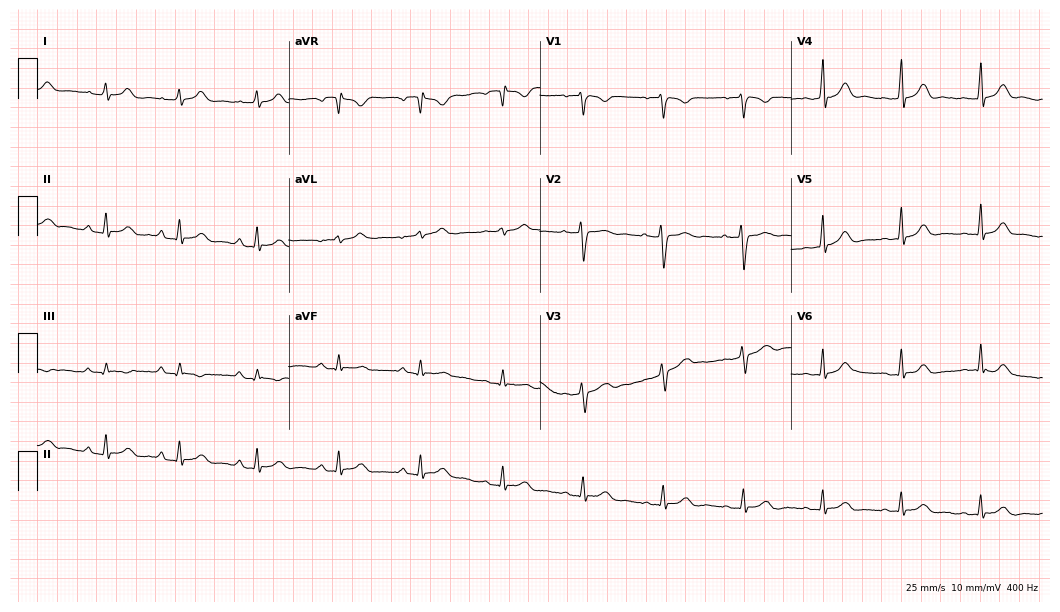
Electrocardiogram, a 23-year-old female patient. Overall reading on record: normal ECG.